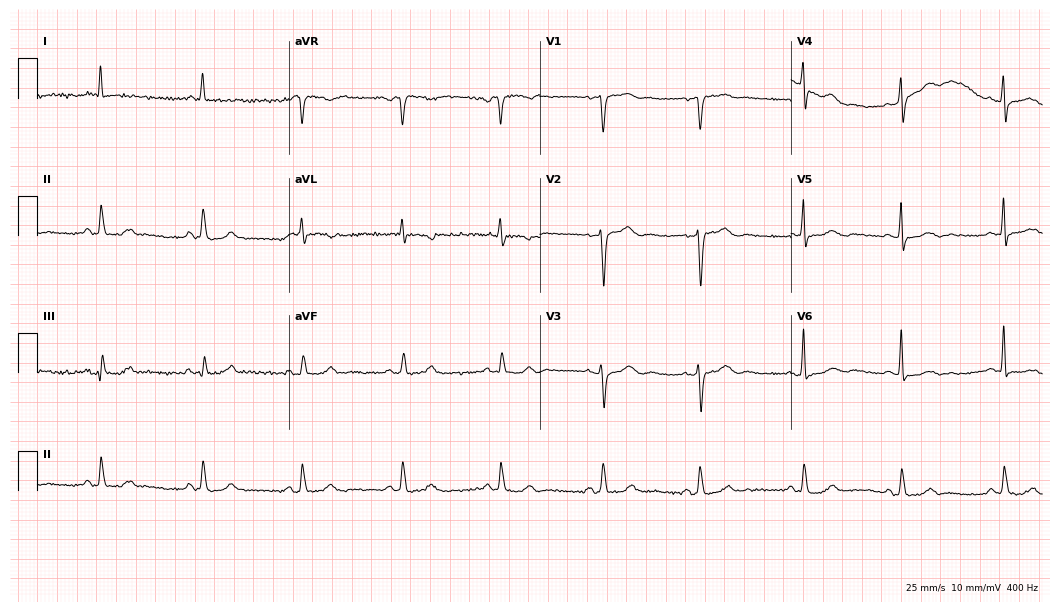
Electrocardiogram (10.2-second recording at 400 Hz), an 81-year-old female patient. Overall reading on record: normal ECG.